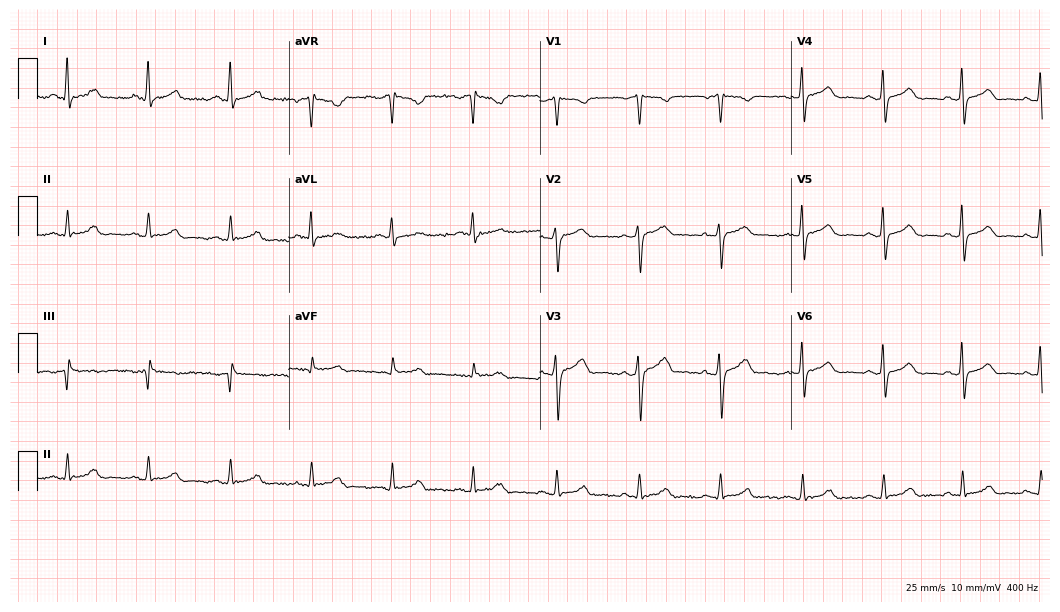
ECG (10.2-second recording at 400 Hz) — a 39-year-old male. Labelled as a normal ECG.